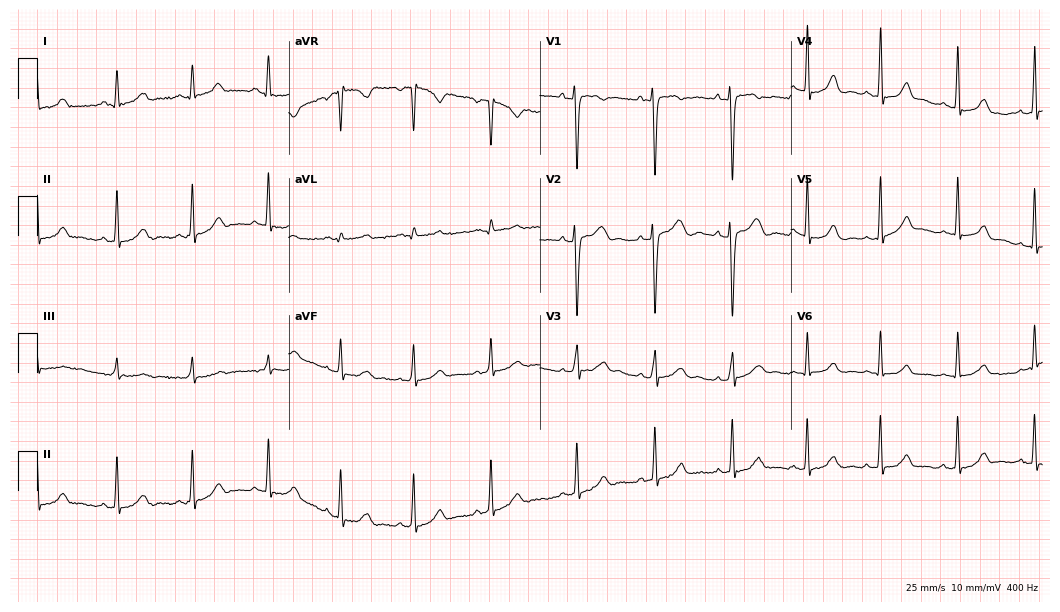
ECG — a female, 21 years old. Labelled as a normal ECG.